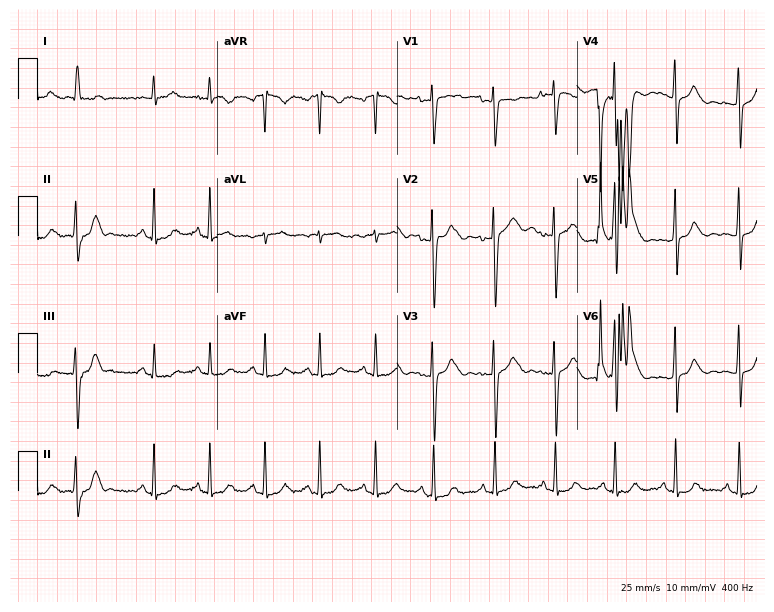
ECG — a female, 28 years old. Findings include sinus tachycardia (a sinus rate of 100 beats per minute or more).